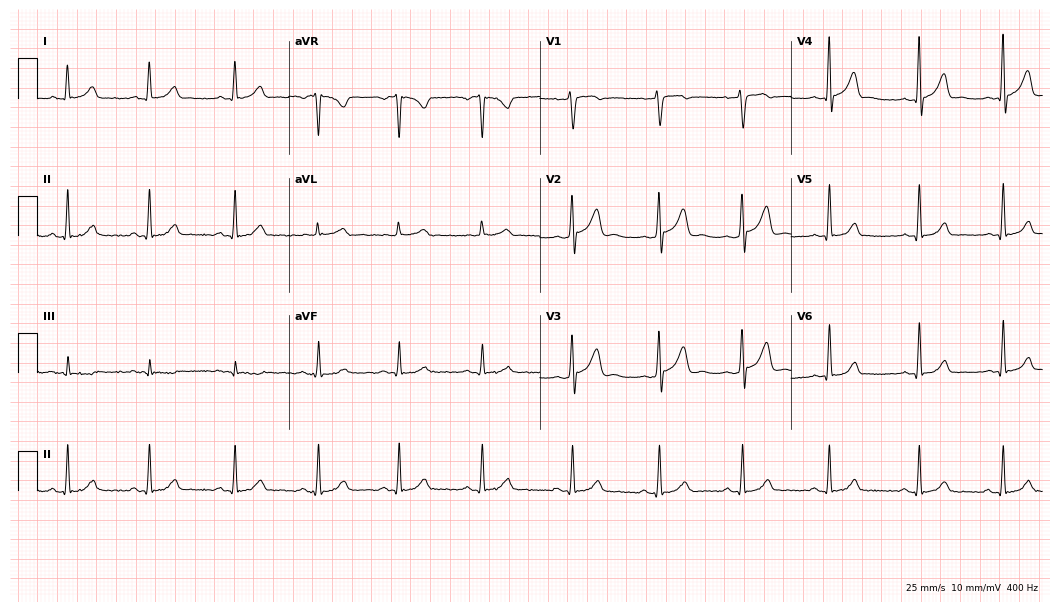
Electrocardiogram (10.2-second recording at 400 Hz), a male, 31 years old. Overall reading on record: normal ECG.